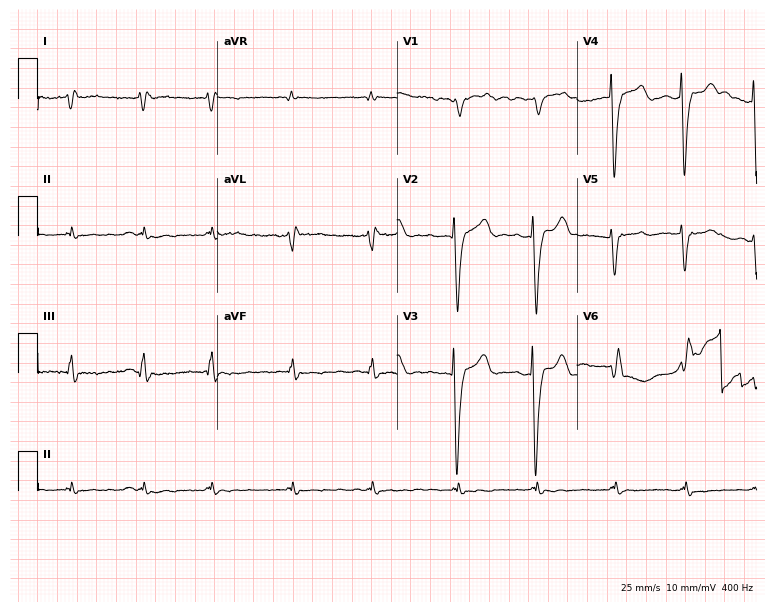
ECG — a male, 84 years old. Findings include atrial fibrillation (AF).